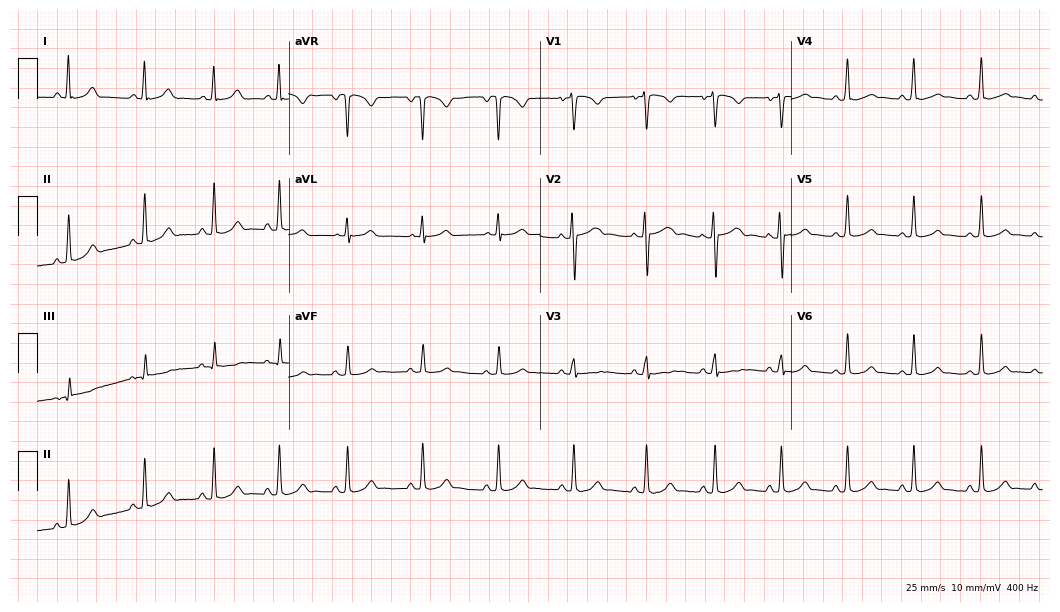
Standard 12-lead ECG recorded from a female, 26 years old (10.2-second recording at 400 Hz). Read as a normal ECG.